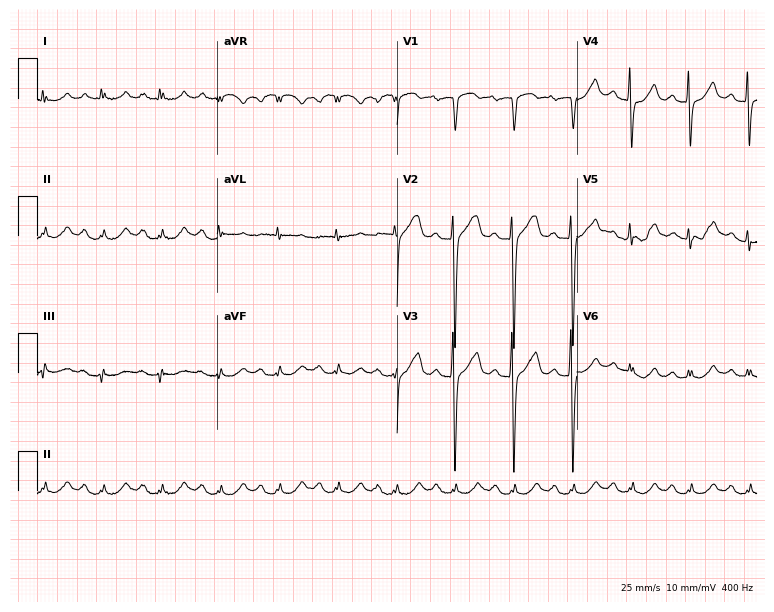
Resting 12-lead electrocardiogram. Patient: a man, 66 years old. Read as a normal ECG.